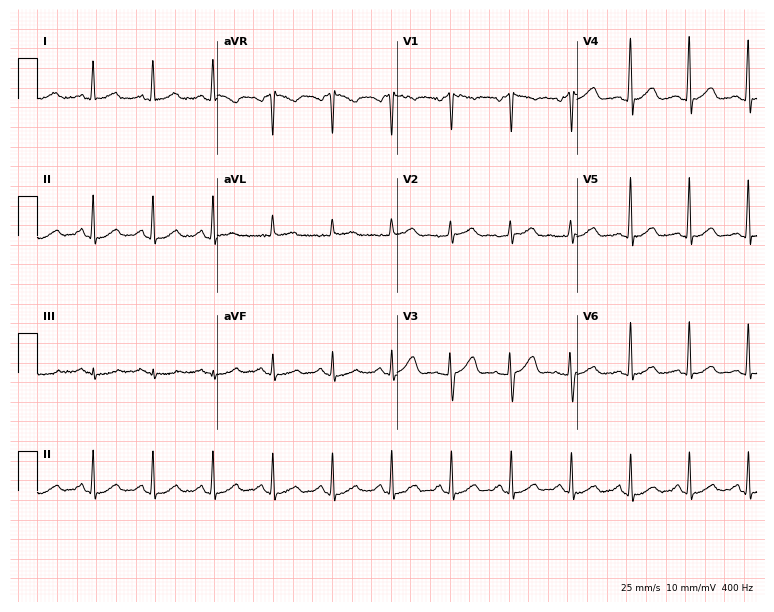
Standard 12-lead ECG recorded from a 57-year-old woman. Read as a normal ECG.